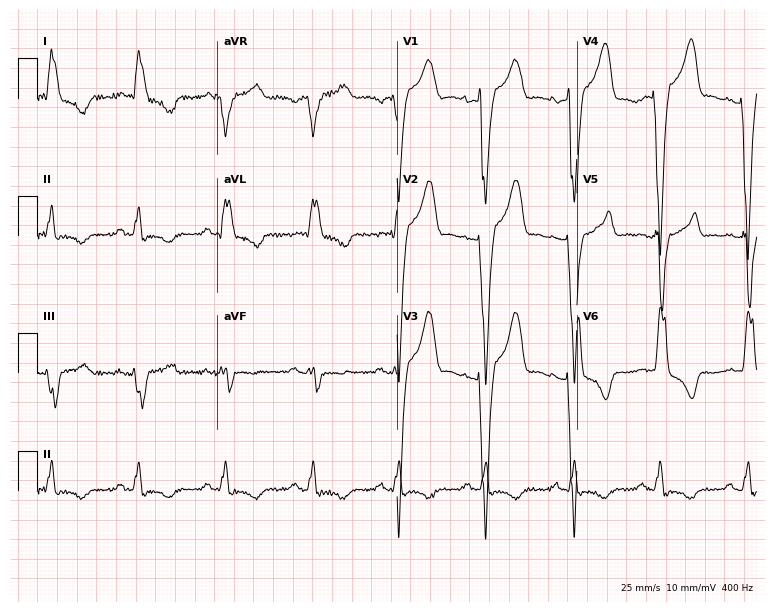
Standard 12-lead ECG recorded from a 51-year-old man (7.3-second recording at 400 Hz). The tracing shows left bundle branch block (LBBB).